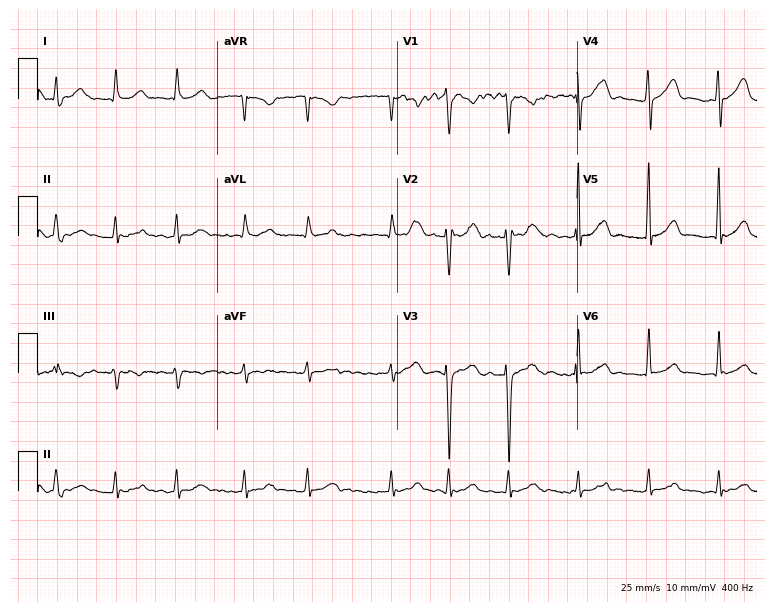
ECG — a male patient, 57 years old. Findings include atrial fibrillation (AF).